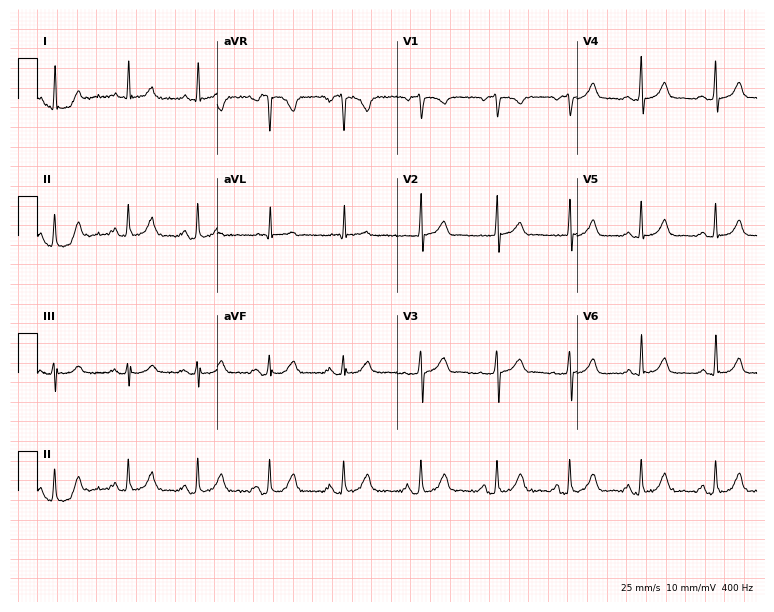
12-lead ECG from a 45-year-old female. No first-degree AV block, right bundle branch block, left bundle branch block, sinus bradycardia, atrial fibrillation or sinus tachycardia recorded for this tracing. Findings outside these six are not listed.